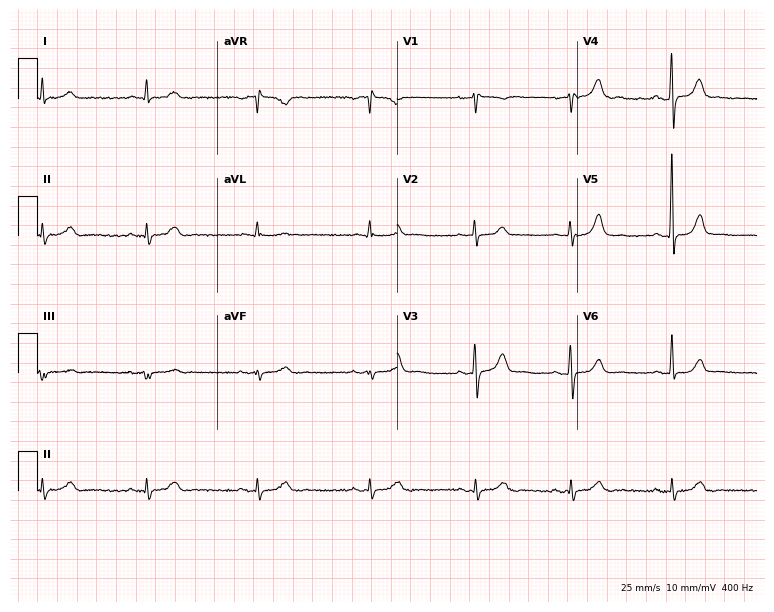
12-lead ECG from a 48-year-old female. No first-degree AV block, right bundle branch block, left bundle branch block, sinus bradycardia, atrial fibrillation or sinus tachycardia recorded for this tracing.